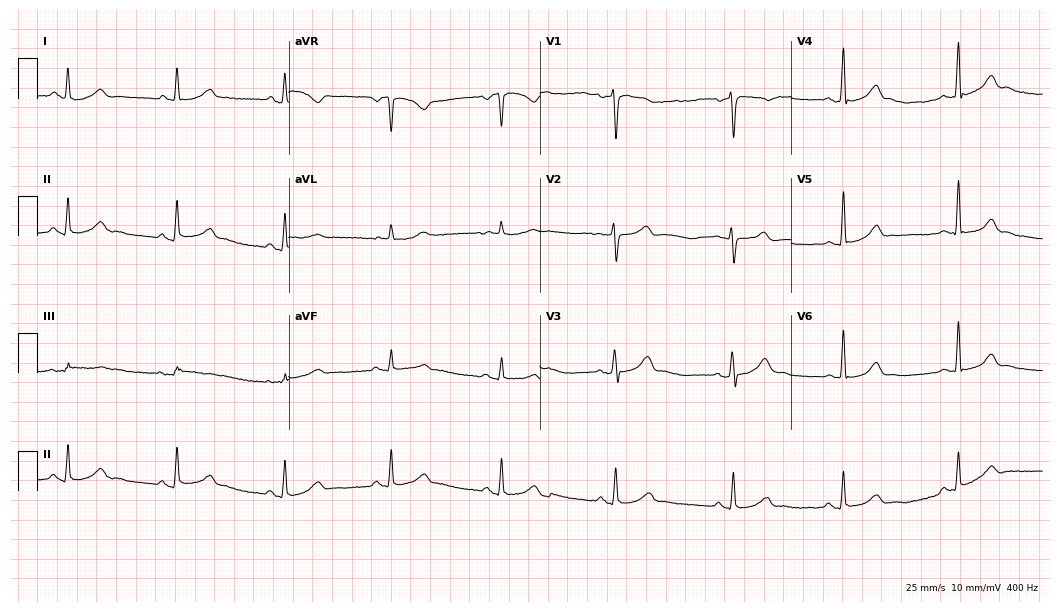
ECG (10.2-second recording at 400 Hz) — a 48-year-old female patient. Labelled as a normal ECG.